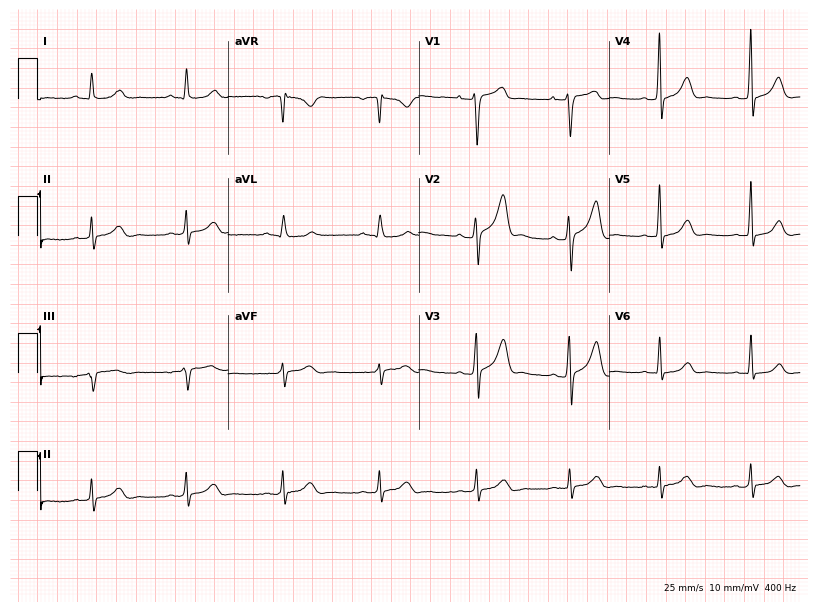
ECG — a man, 30 years old. Labelled as a normal ECG.